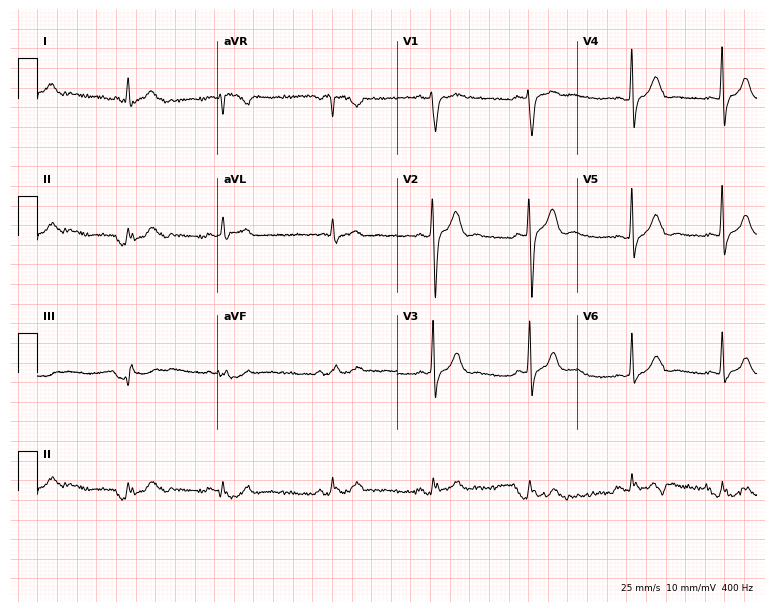
Standard 12-lead ECG recorded from a 40-year-old male patient. None of these six findings is recorded: first-degree AV block, right bundle branch block (RBBB), left bundle branch block (LBBB), sinus bradycardia, atrial fibrillation (AF), sinus tachycardia. Only these six findings were labelled.